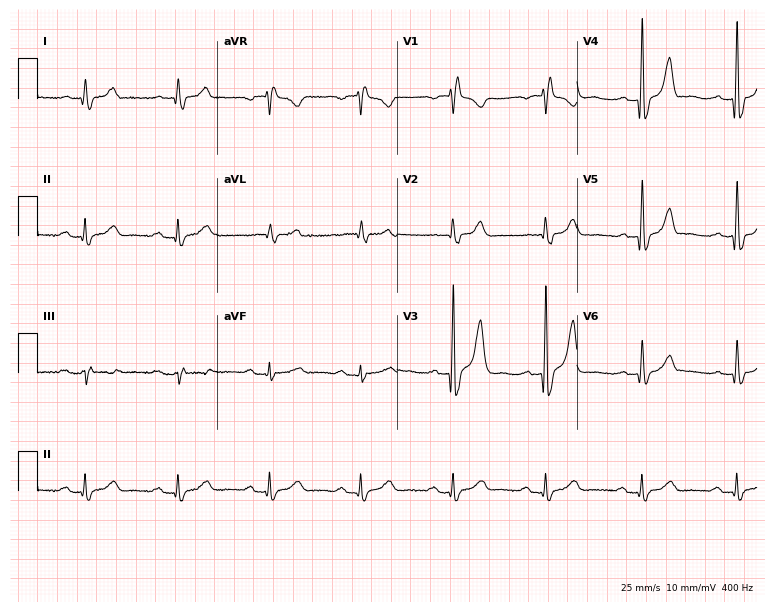
Resting 12-lead electrocardiogram. Patient: a man, 80 years old. The tracing shows right bundle branch block.